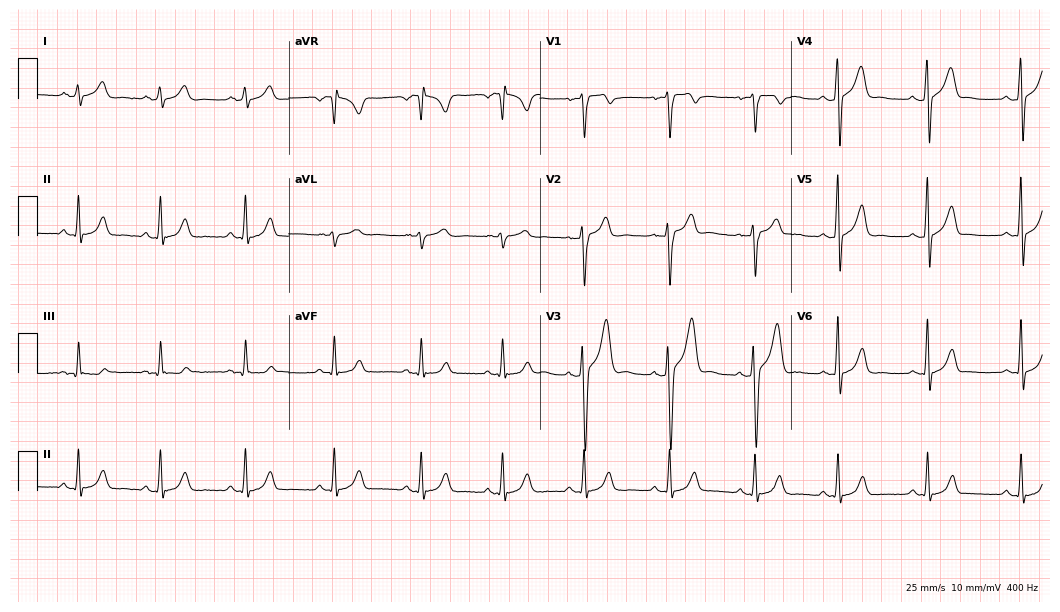
12-lead ECG from a 17-year-old male. Labelled as a normal ECG.